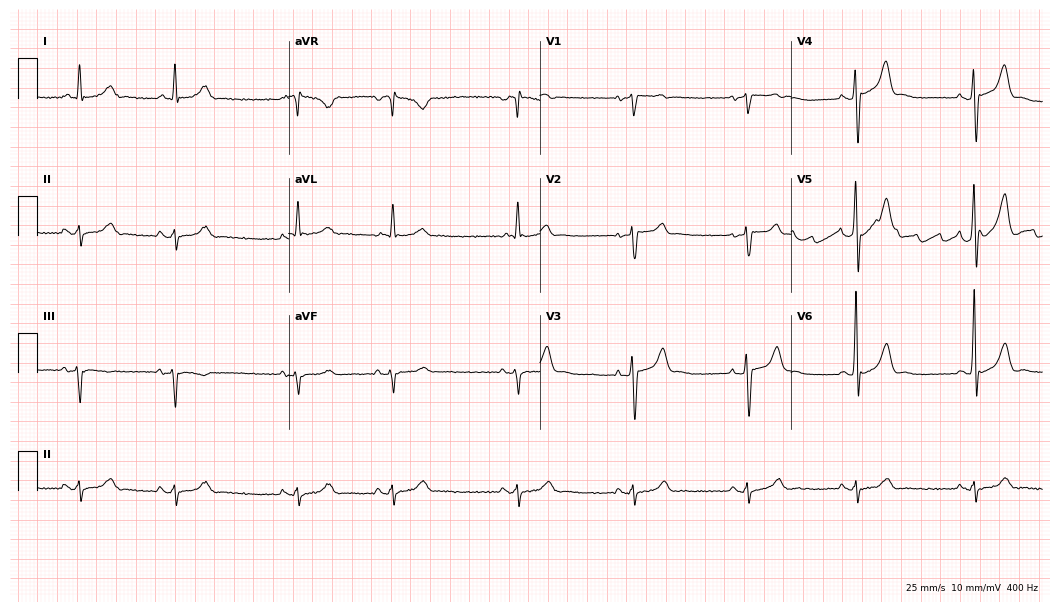
12-lead ECG from an 83-year-old man (10.2-second recording at 400 Hz). No first-degree AV block, right bundle branch block, left bundle branch block, sinus bradycardia, atrial fibrillation or sinus tachycardia recorded for this tracing.